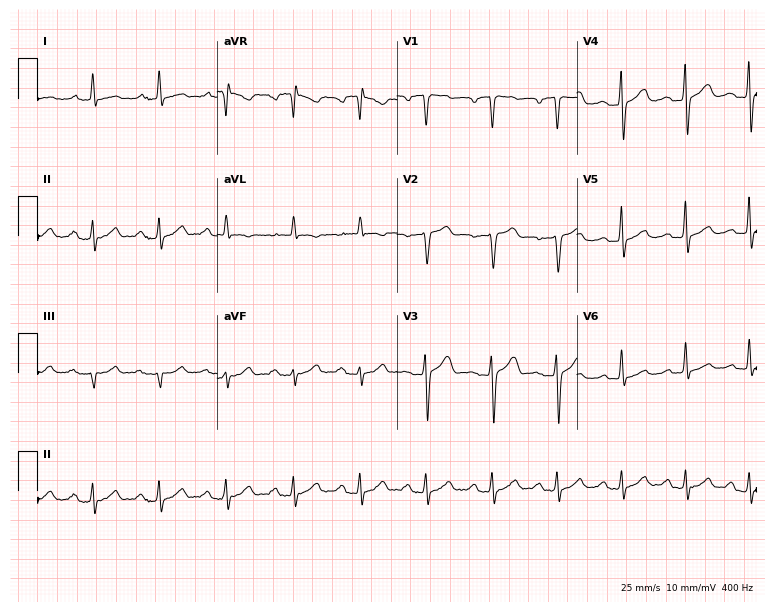
ECG (7.3-second recording at 400 Hz) — a 47-year-old male. Screened for six findings — first-degree AV block, right bundle branch block, left bundle branch block, sinus bradycardia, atrial fibrillation, sinus tachycardia — none is recorded.